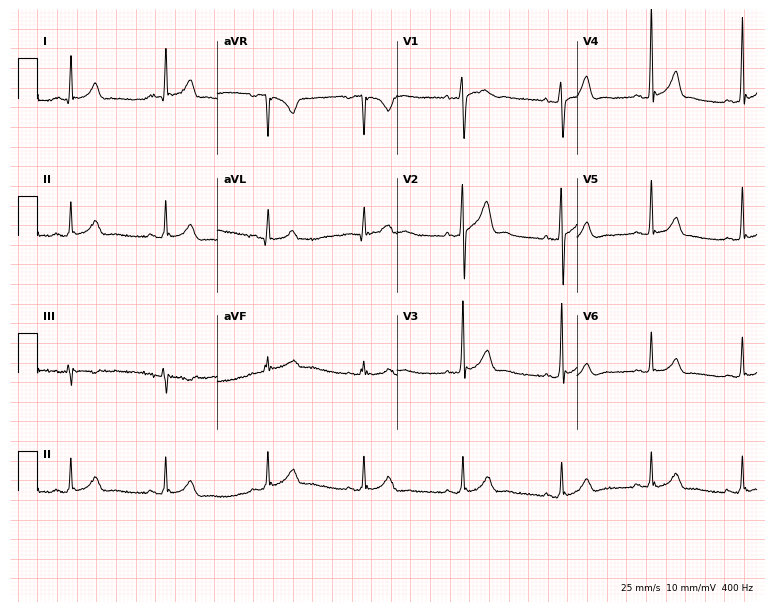
ECG (7.3-second recording at 400 Hz) — a 26-year-old male patient. Labelled as a normal ECG.